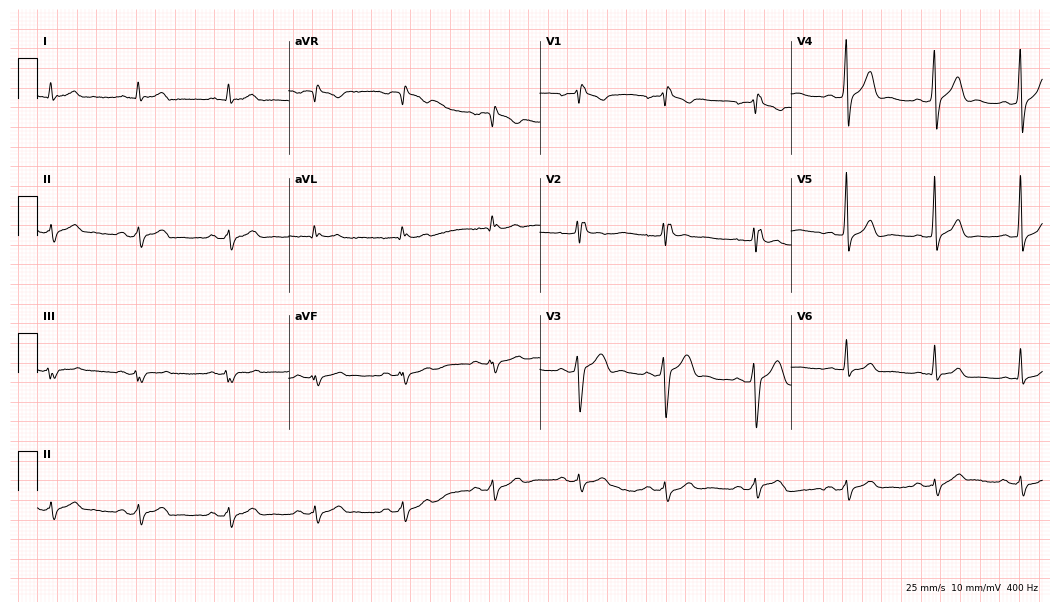
Standard 12-lead ECG recorded from a male patient, 41 years old (10.2-second recording at 400 Hz). The tracing shows right bundle branch block (RBBB).